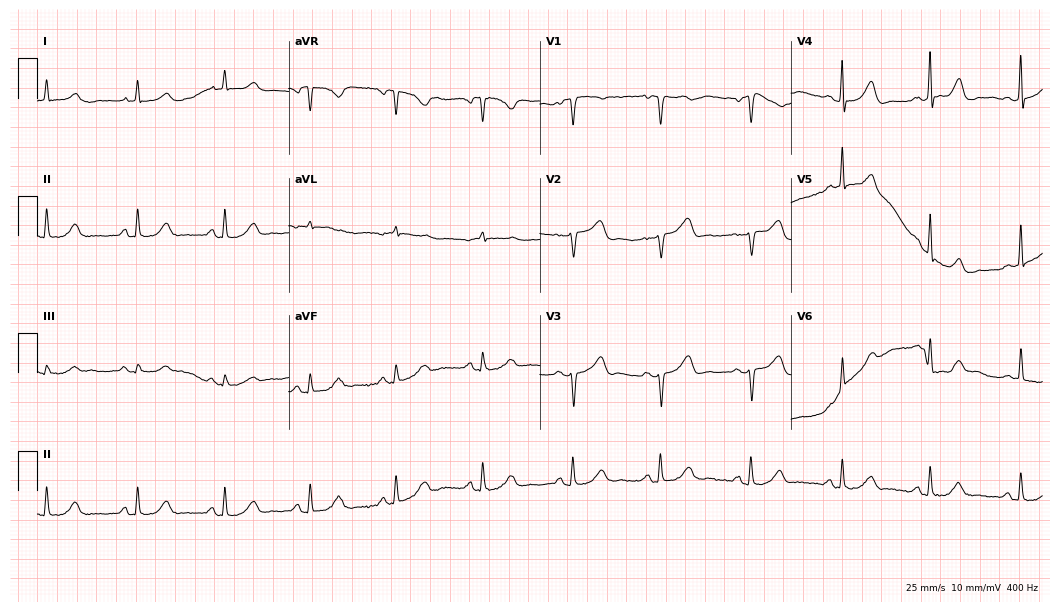
Resting 12-lead electrocardiogram. Patient: a female, 64 years old. None of these six findings is recorded: first-degree AV block, right bundle branch block (RBBB), left bundle branch block (LBBB), sinus bradycardia, atrial fibrillation (AF), sinus tachycardia.